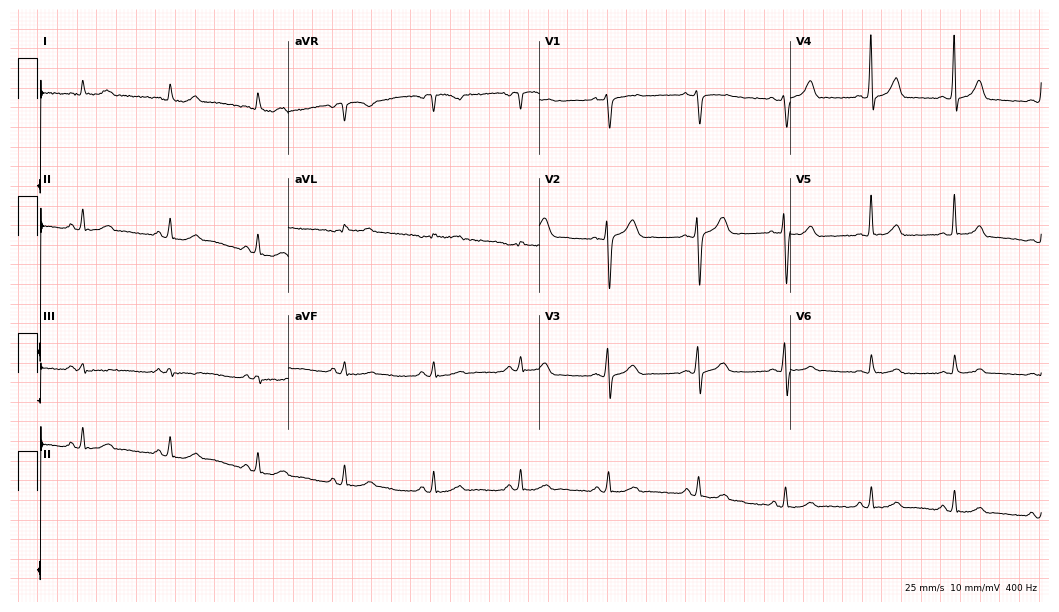
12-lead ECG (10.2-second recording at 400 Hz) from a man, 46 years old. Labelled as a normal ECG.